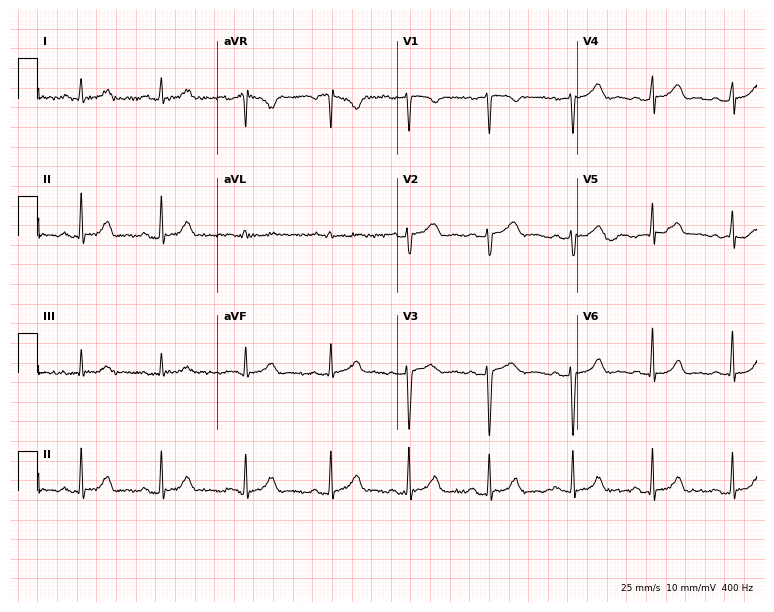
ECG — a female, 27 years old. Labelled as a normal ECG.